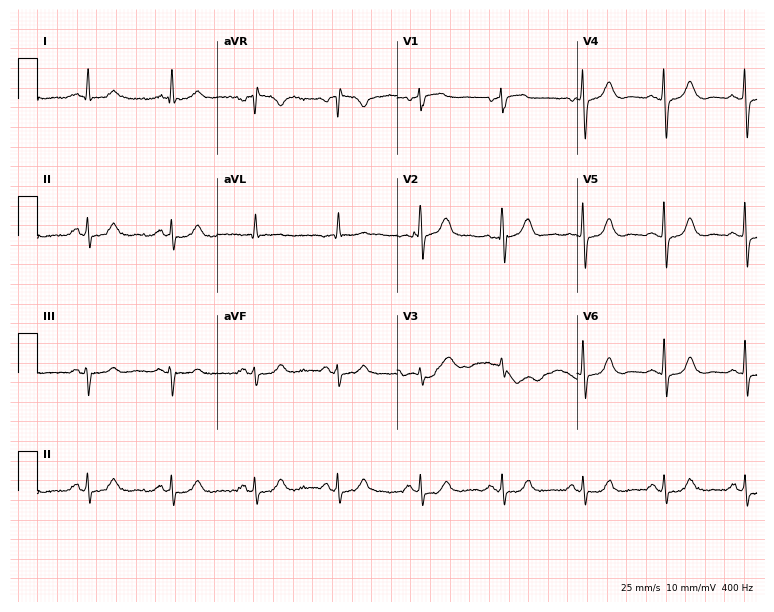
Standard 12-lead ECG recorded from a 61-year-old female. None of these six findings is recorded: first-degree AV block, right bundle branch block, left bundle branch block, sinus bradycardia, atrial fibrillation, sinus tachycardia. Findings outside these six are not listed.